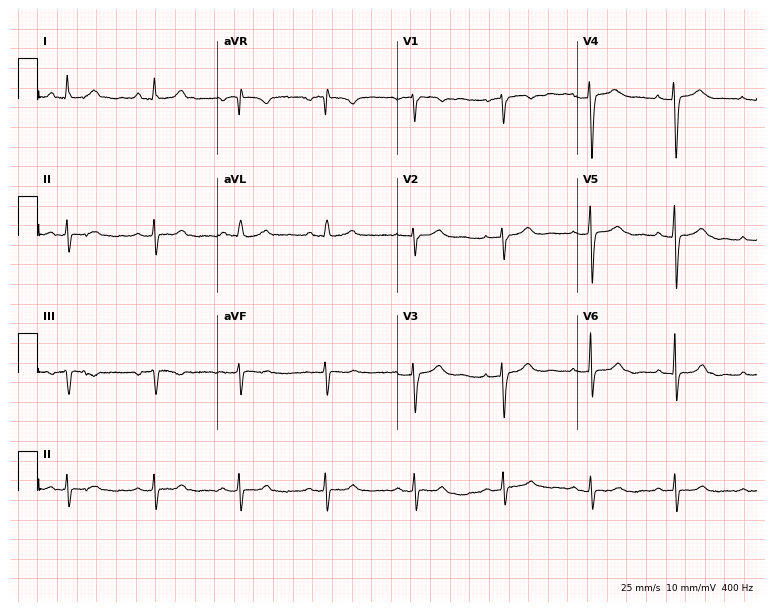
Electrocardiogram (7.3-second recording at 400 Hz), a 52-year-old female. Of the six screened findings (first-degree AV block, right bundle branch block, left bundle branch block, sinus bradycardia, atrial fibrillation, sinus tachycardia), none is recorded.